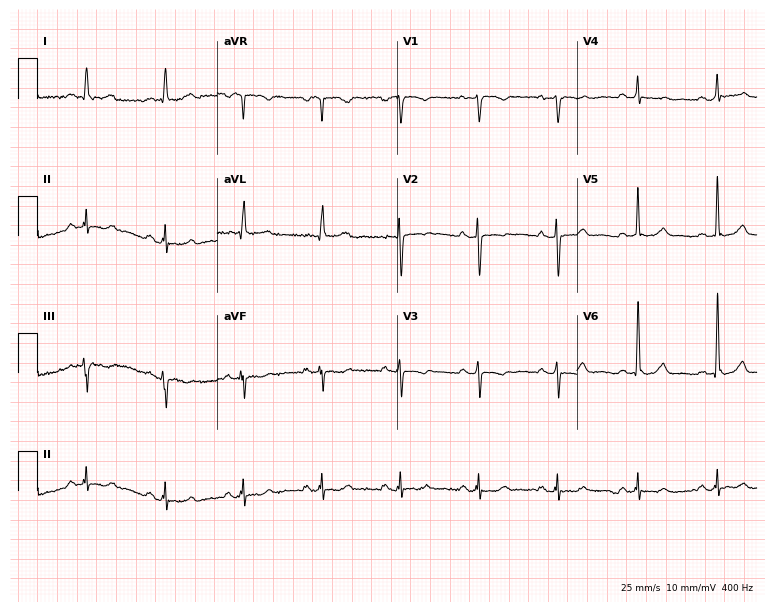
Electrocardiogram (7.3-second recording at 400 Hz), a 56-year-old female patient. Overall reading on record: normal ECG.